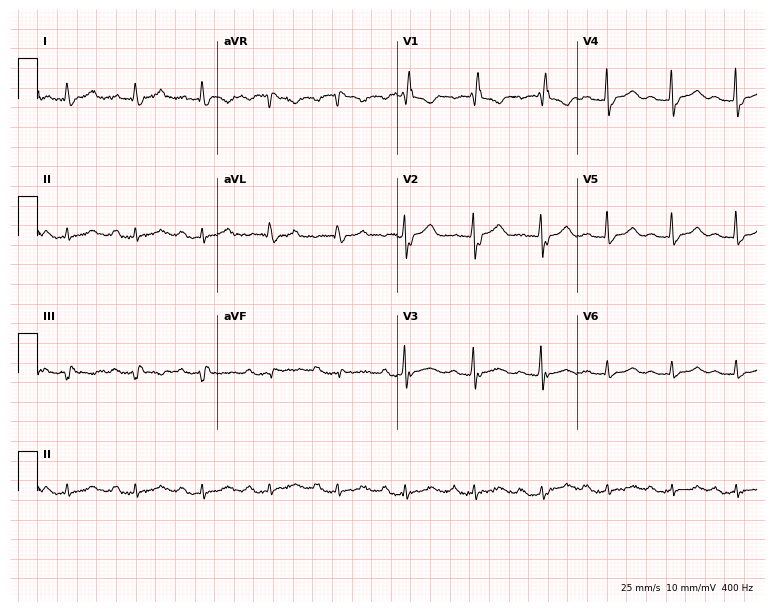
ECG — a woman, 83 years old. Screened for six findings — first-degree AV block, right bundle branch block (RBBB), left bundle branch block (LBBB), sinus bradycardia, atrial fibrillation (AF), sinus tachycardia — none is recorded.